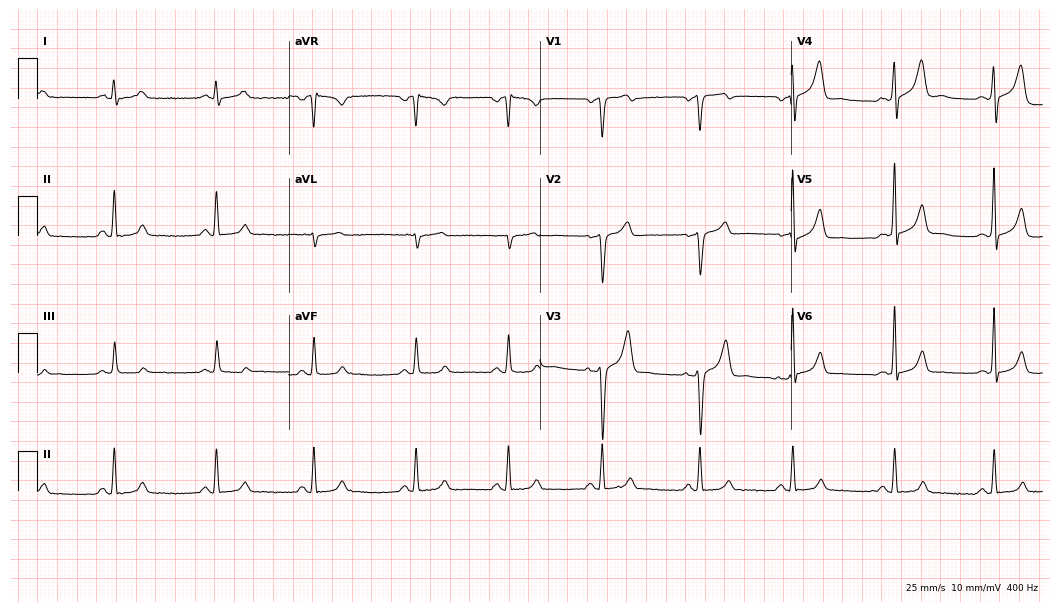
12-lead ECG from a male patient, 61 years old. Recorded interpretation: within normal limits.